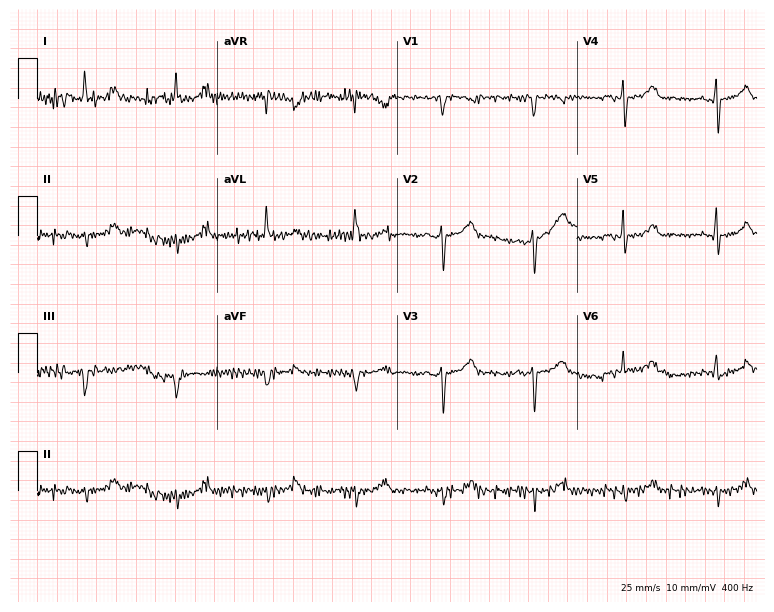
Resting 12-lead electrocardiogram. Patient: a male, 82 years old. None of these six findings is recorded: first-degree AV block, right bundle branch block, left bundle branch block, sinus bradycardia, atrial fibrillation, sinus tachycardia.